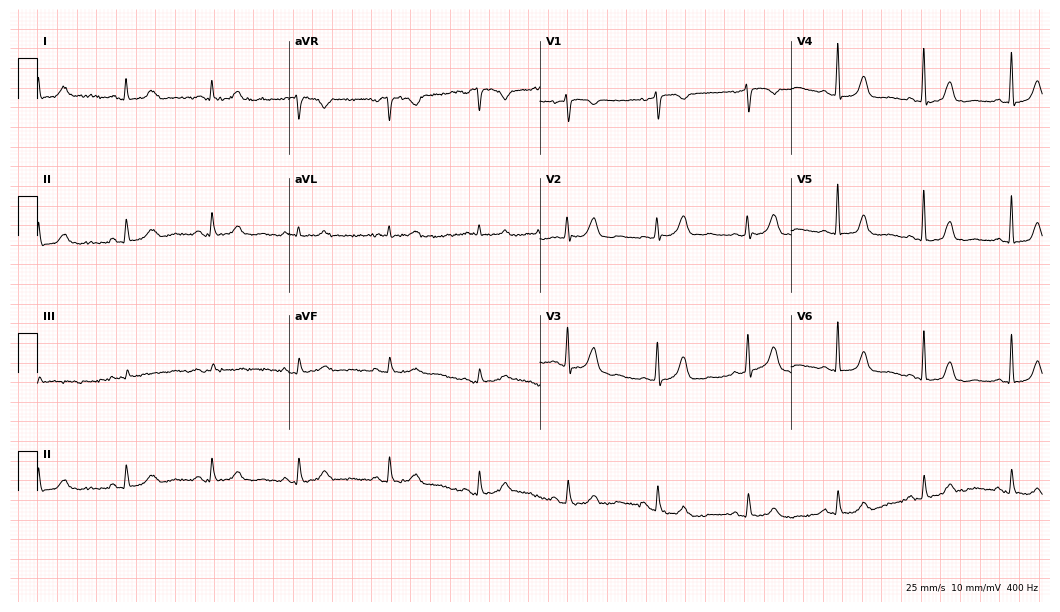
12-lead ECG from a female, 70 years old (10.2-second recording at 400 Hz). No first-degree AV block, right bundle branch block, left bundle branch block, sinus bradycardia, atrial fibrillation or sinus tachycardia recorded for this tracing.